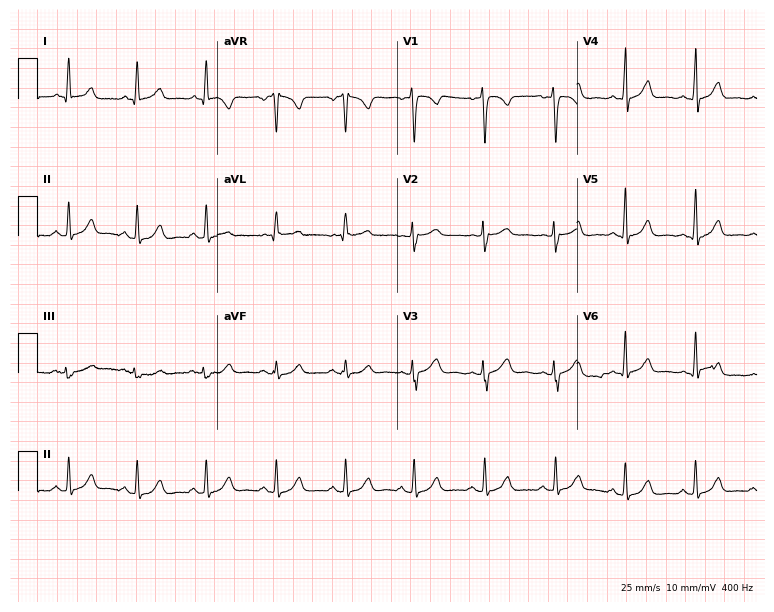
ECG — a 28-year-old woman. Labelled as a normal ECG.